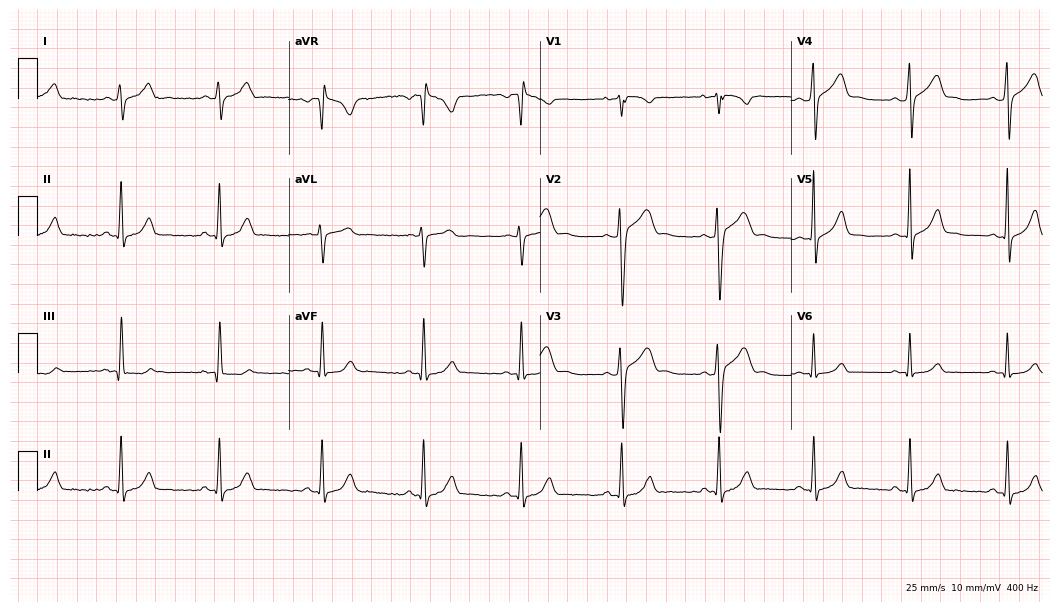
Electrocardiogram, a 21-year-old male patient. Overall reading on record: normal ECG.